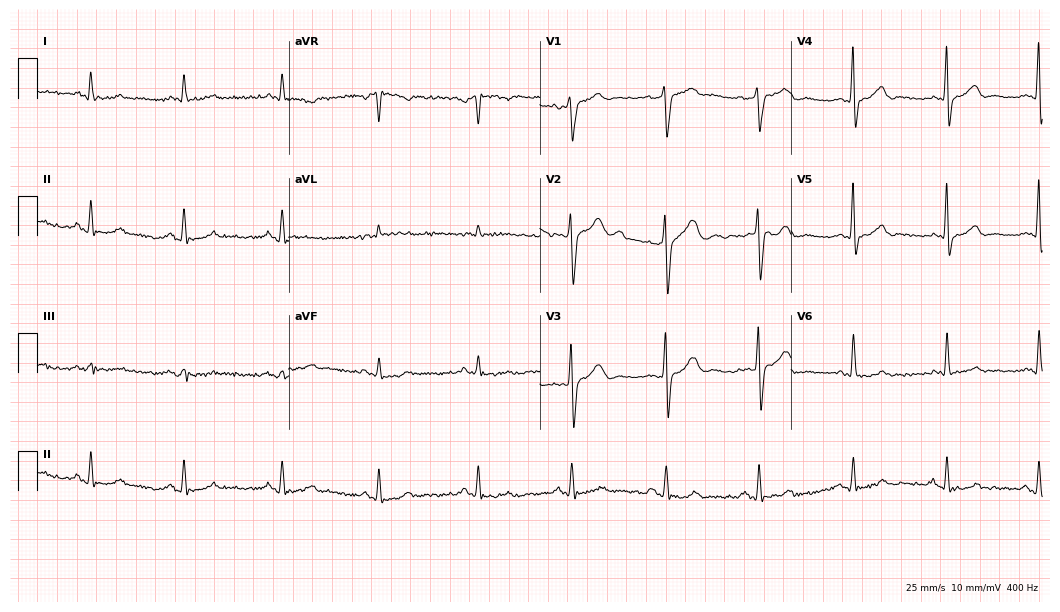
Resting 12-lead electrocardiogram. Patient: a 53-year-old man. None of these six findings is recorded: first-degree AV block, right bundle branch block, left bundle branch block, sinus bradycardia, atrial fibrillation, sinus tachycardia. Findings outside these six are not listed.